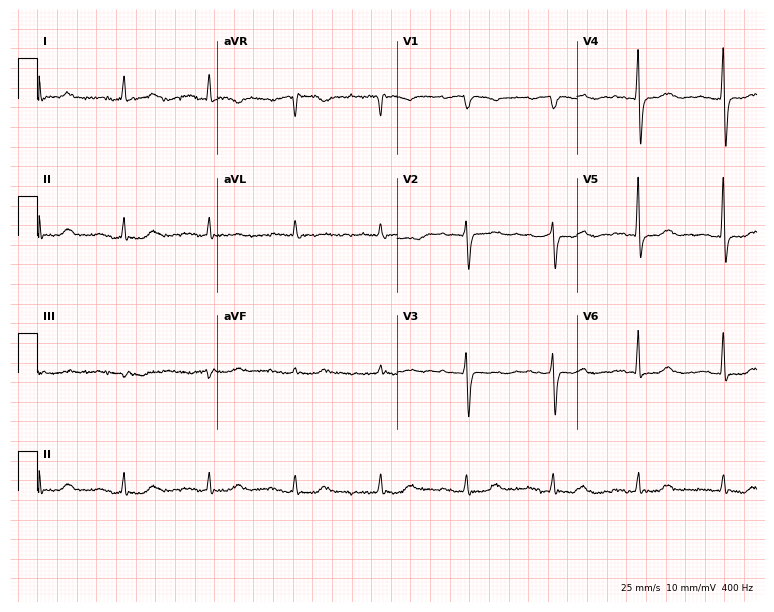
Electrocardiogram (7.3-second recording at 400 Hz), a female, 81 years old. Interpretation includes first-degree AV block.